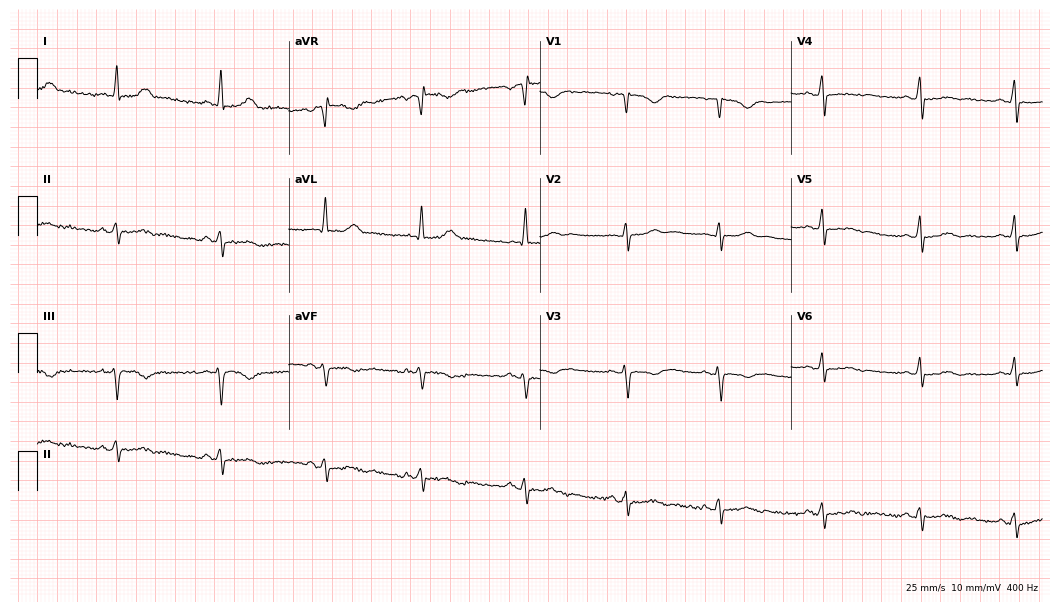
Resting 12-lead electrocardiogram. Patient: a 42-year-old female. None of these six findings is recorded: first-degree AV block, right bundle branch block, left bundle branch block, sinus bradycardia, atrial fibrillation, sinus tachycardia.